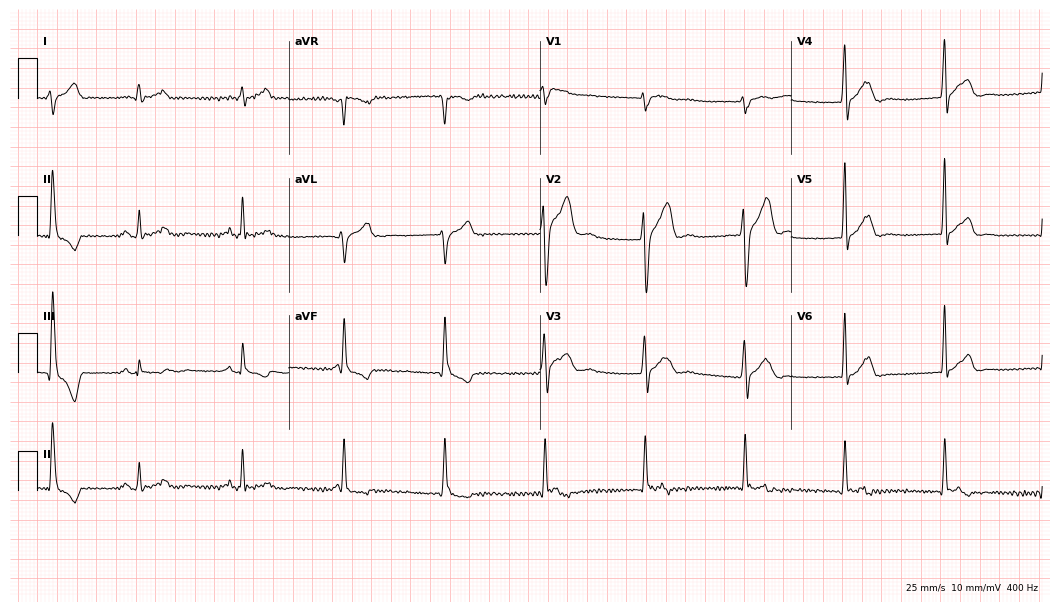
Standard 12-lead ECG recorded from a 32-year-old male (10.2-second recording at 400 Hz). None of these six findings is recorded: first-degree AV block, right bundle branch block, left bundle branch block, sinus bradycardia, atrial fibrillation, sinus tachycardia.